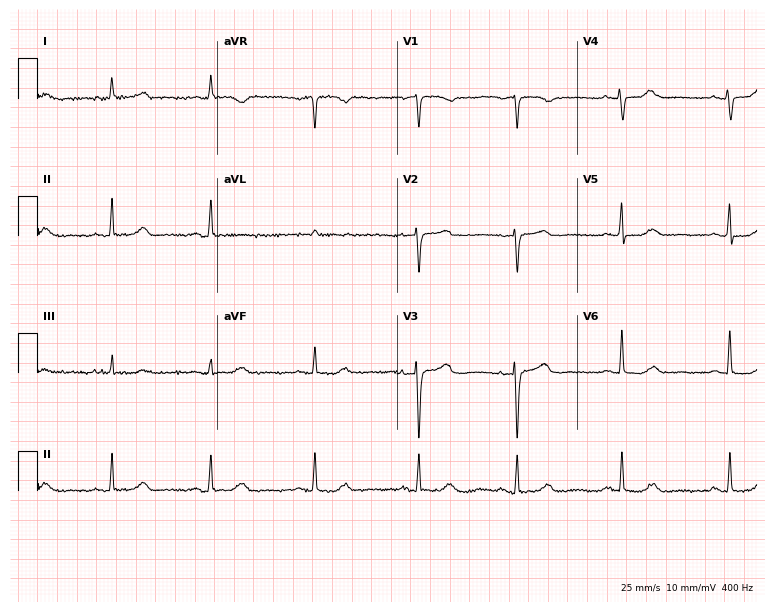
Electrocardiogram (7.3-second recording at 400 Hz), a 64-year-old female. Overall reading on record: normal ECG.